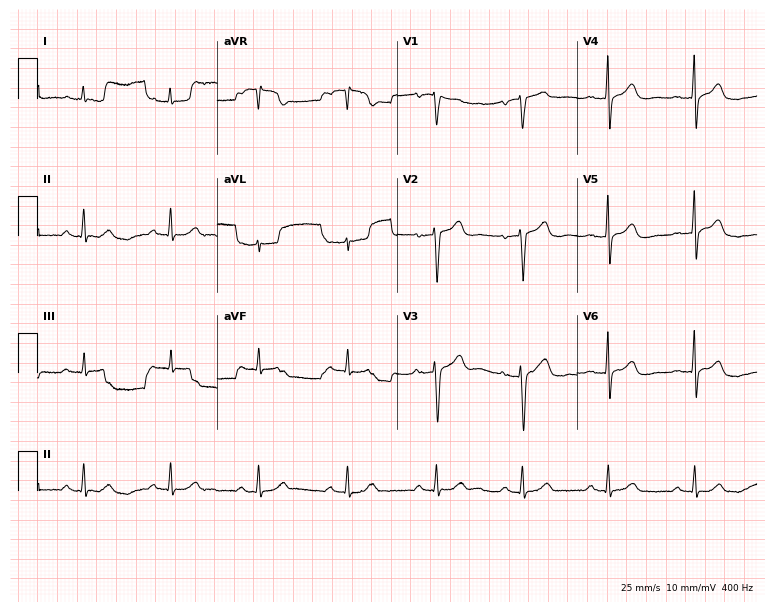
Resting 12-lead electrocardiogram. Patient: a 51-year-old man. Read as a normal ECG.